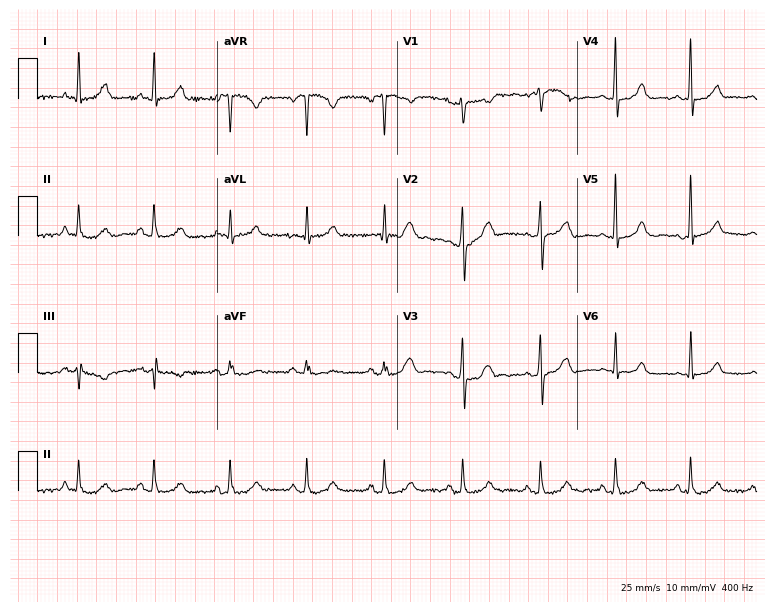
12-lead ECG from a woman, 52 years old (7.3-second recording at 400 Hz). Recorded interpretation: within normal limits.